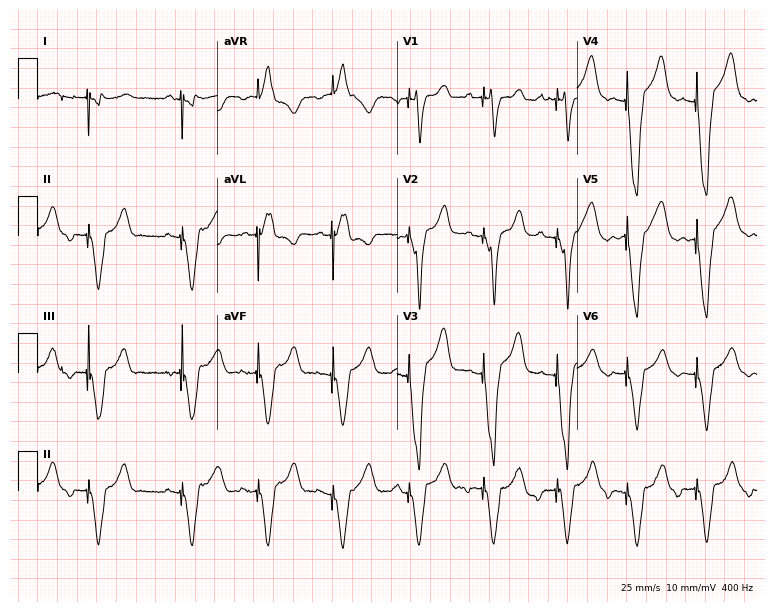
12-lead ECG from an 81-year-old man (7.3-second recording at 400 Hz). No first-degree AV block, right bundle branch block, left bundle branch block, sinus bradycardia, atrial fibrillation or sinus tachycardia recorded for this tracing.